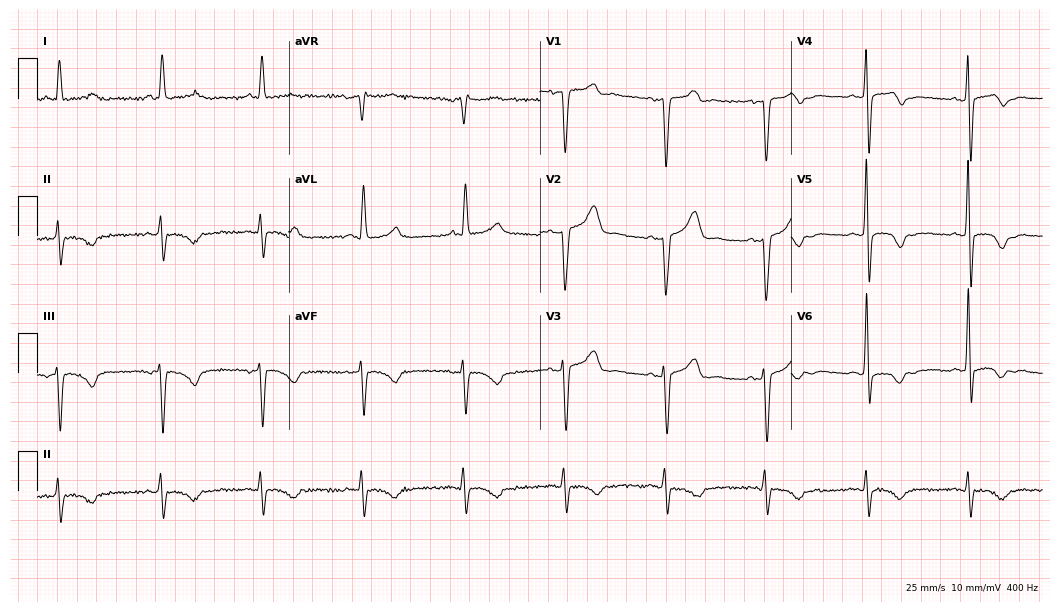
Standard 12-lead ECG recorded from a 61-year-old male patient. None of these six findings is recorded: first-degree AV block, right bundle branch block (RBBB), left bundle branch block (LBBB), sinus bradycardia, atrial fibrillation (AF), sinus tachycardia.